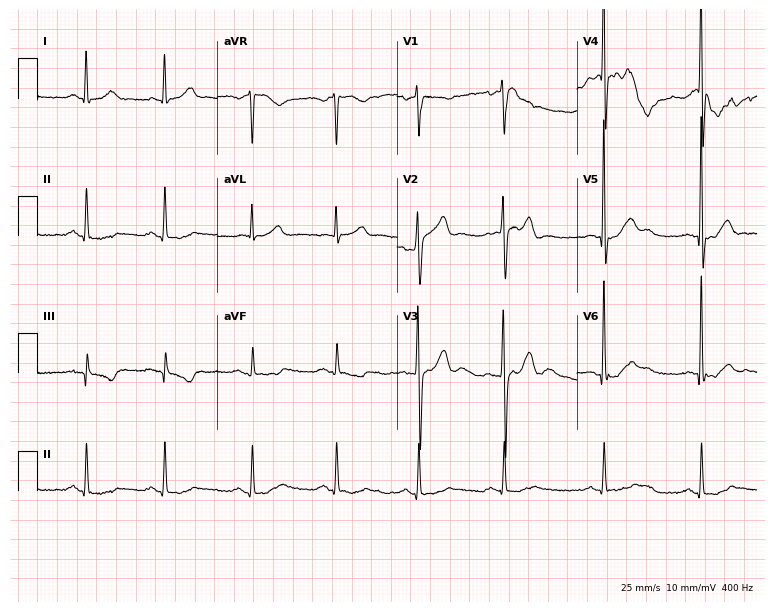
Resting 12-lead electrocardiogram. Patient: a 60-year-old male. Read as a normal ECG.